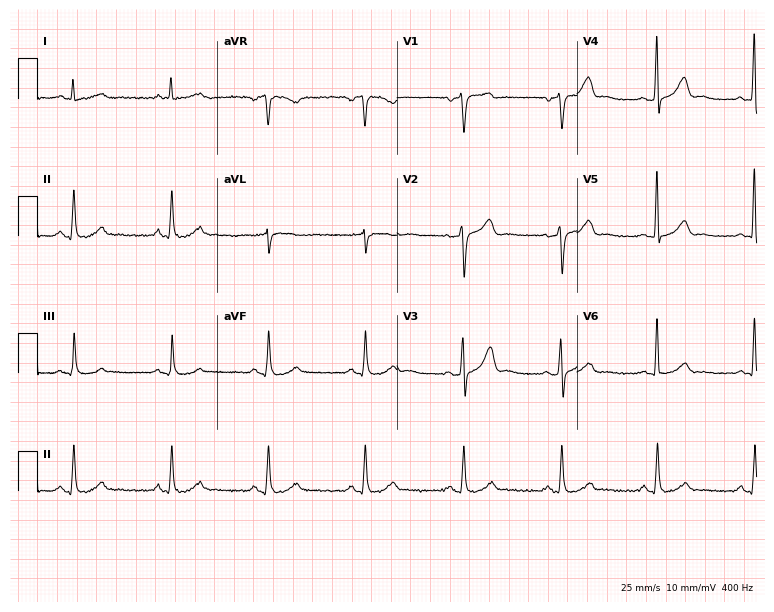
12-lead ECG from a man, 54 years old. Recorded interpretation: within normal limits.